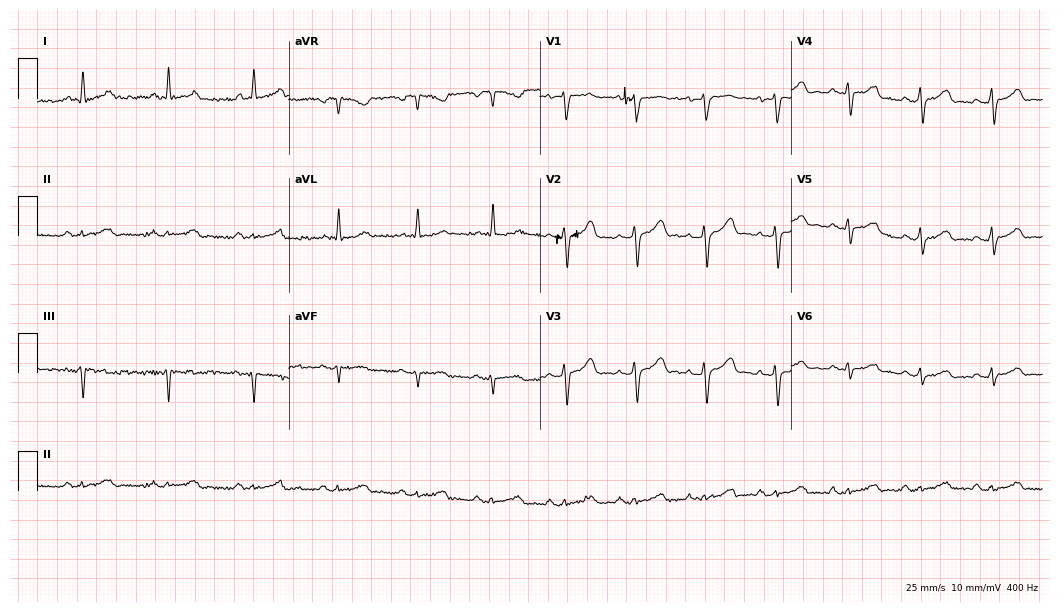
ECG (10.2-second recording at 400 Hz) — a male patient, 43 years old. Screened for six findings — first-degree AV block, right bundle branch block, left bundle branch block, sinus bradycardia, atrial fibrillation, sinus tachycardia — none is recorded.